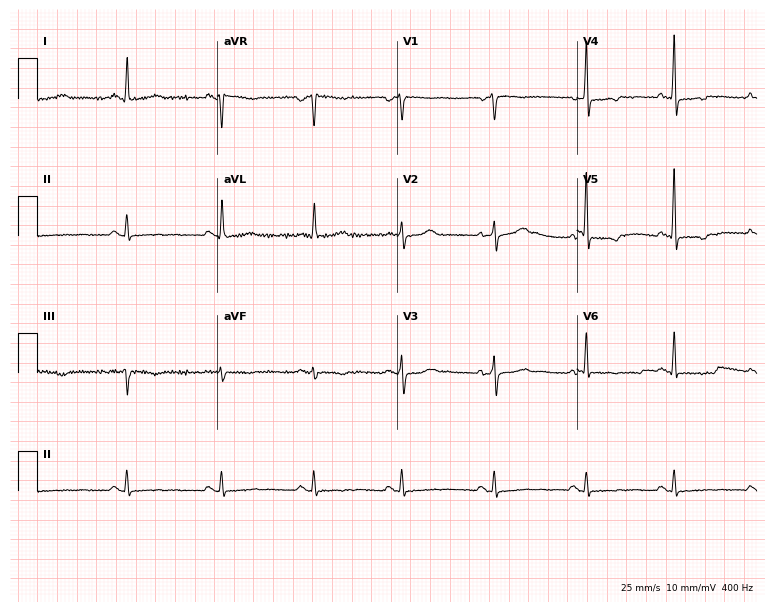
Electrocardiogram, a 47-year-old female. Overall reading on record: normal ECG.